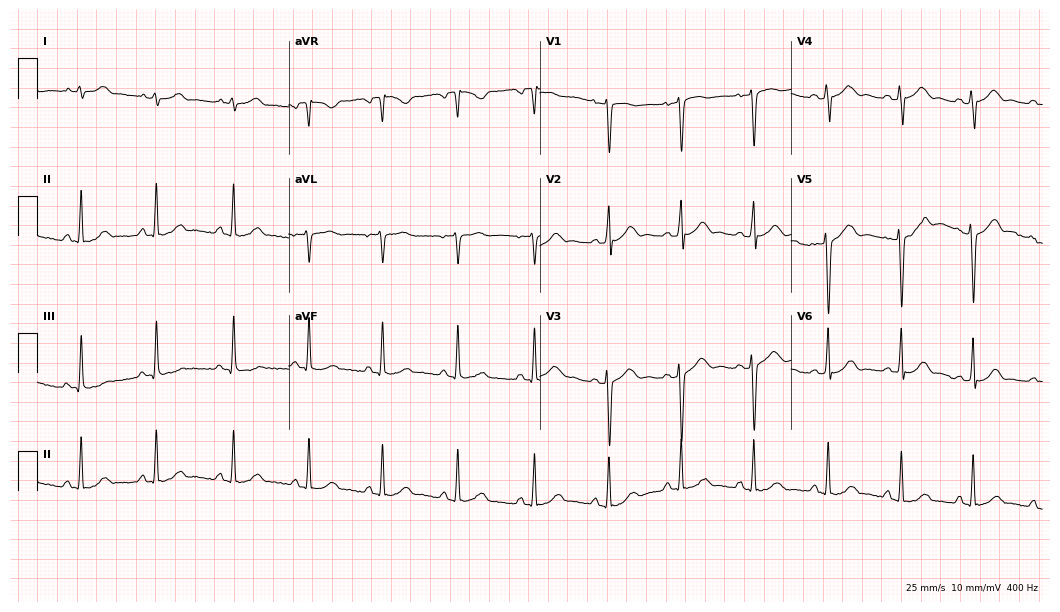
12-lead ECG from a 19-year-old female. Screened for six findings — first-degree AV block, right bundle branch block, left bundle branch block, sinus bradycardia, atrial fibrillation, sinus tachycardia — none is recorded. Findings outside these six are not listed.